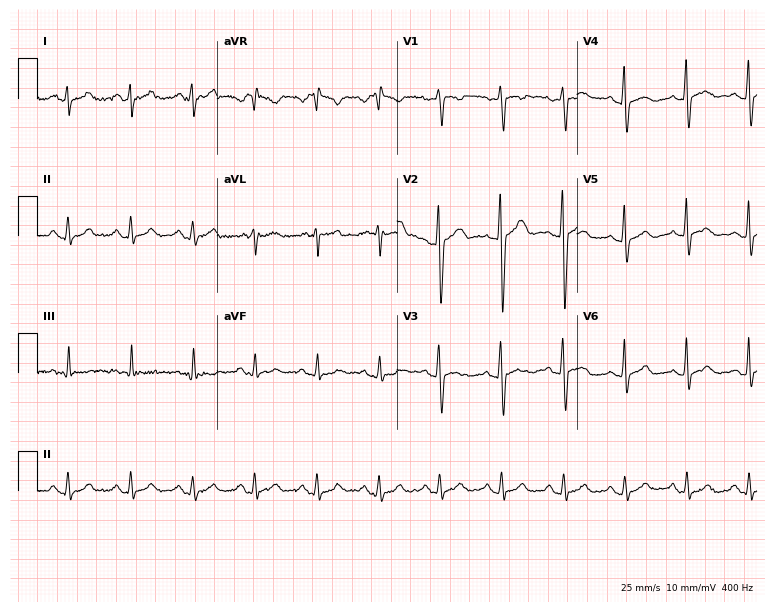
ECG — a male, 18 years old. Labelled as a normal ECG.